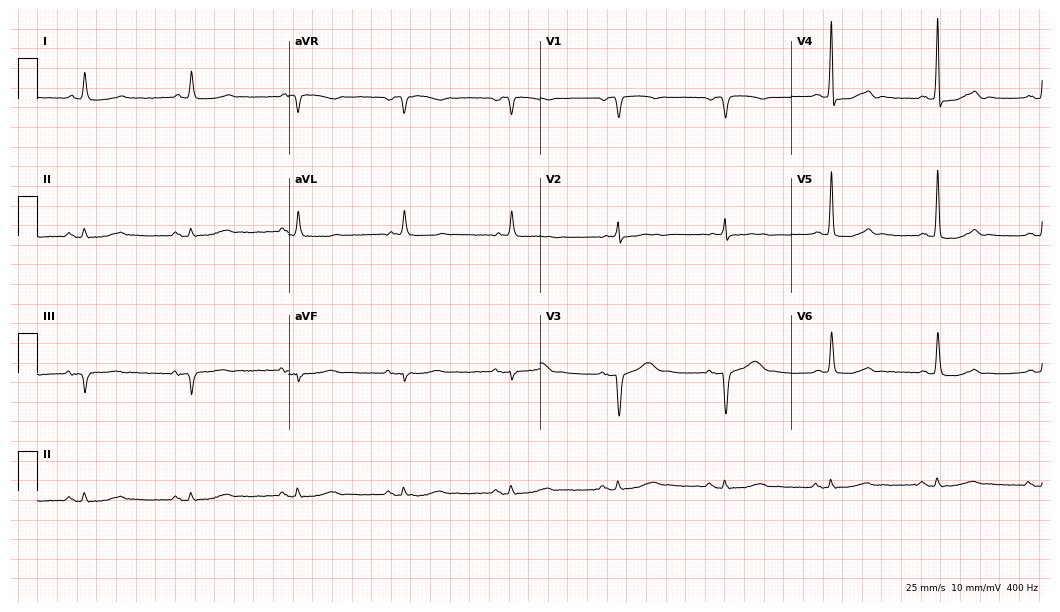
Standard 12-lead ECG recorded from a male, 76 years old. Read as a normal ECG.